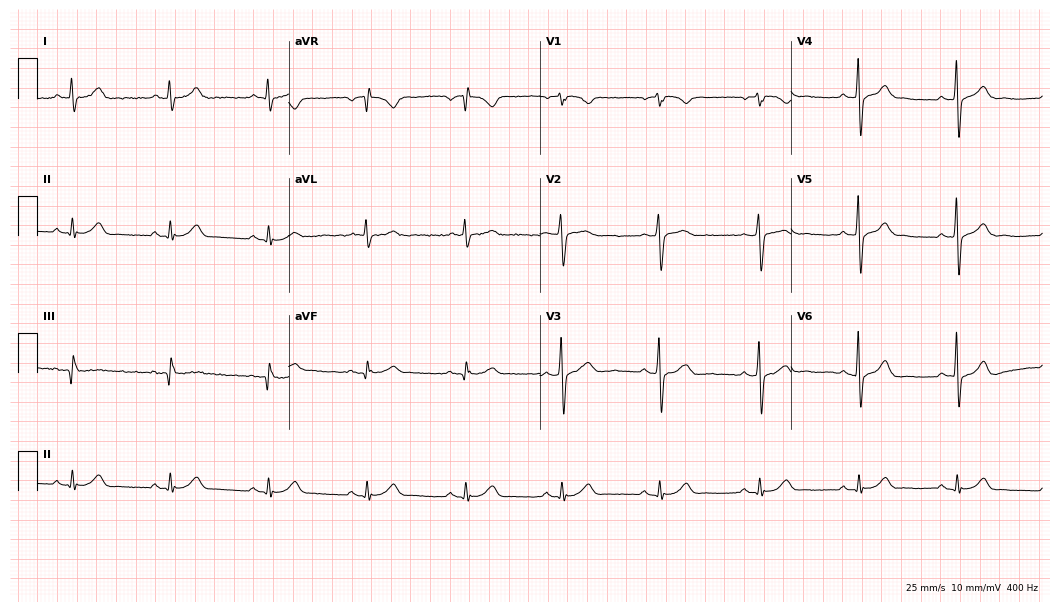
ECG — a 59-year-old man. Labelled as a normal ECG.